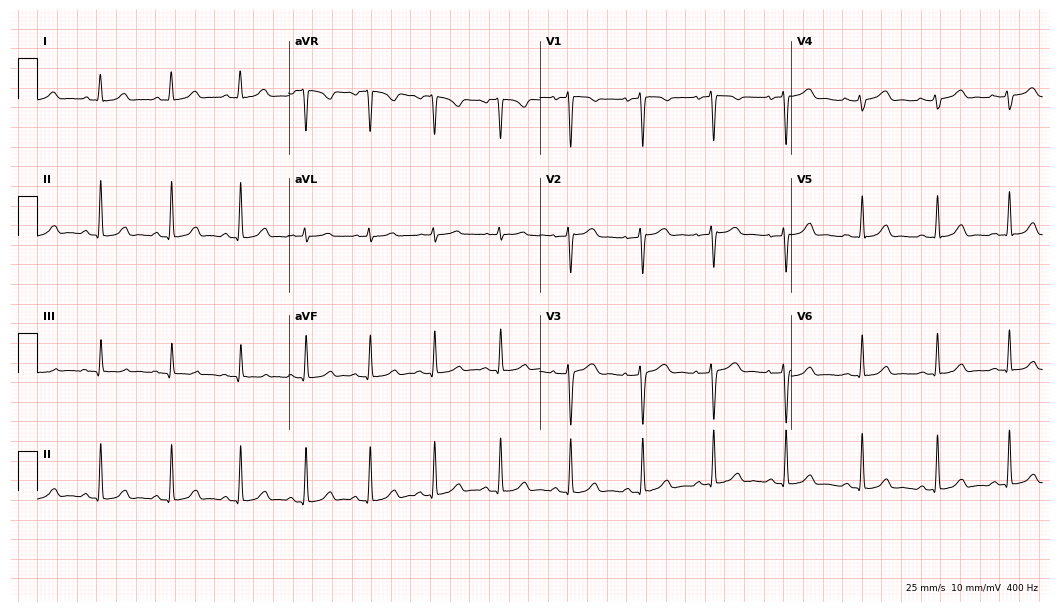
12-lead ECG from a 36-year-old woman (10.2-second recording at 400 Hz). Recorded interpretation: within normal limits.